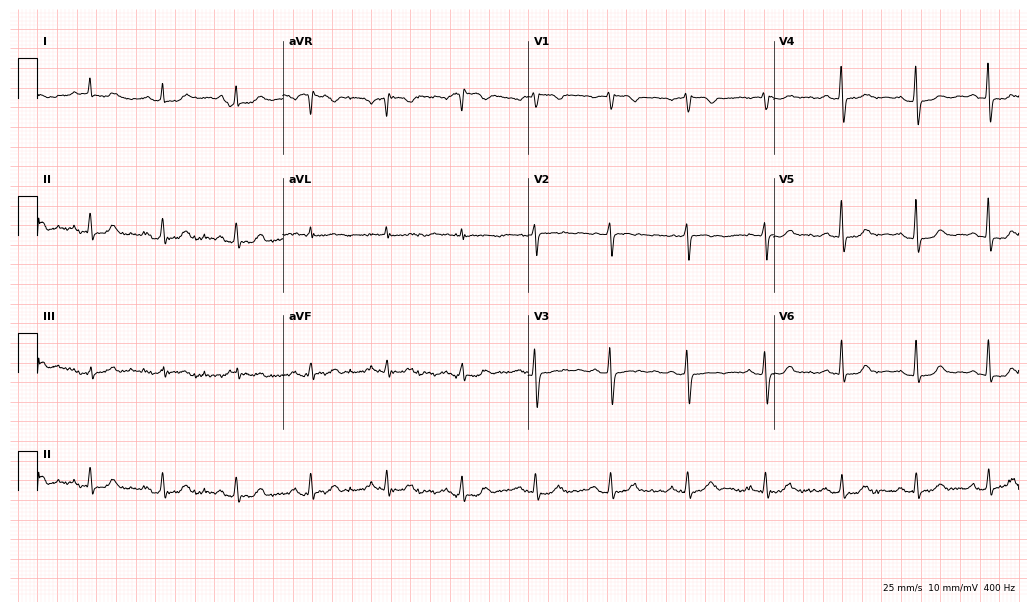
ECG — a 59-year-old female patient. Screened for six findings — first-degree AV block, right bundle branch block, left bundle branch block, sinus bradycardia, atrial fibrillation, sinus tachycardia — none is recorded. Other findings, if any, are not listed.